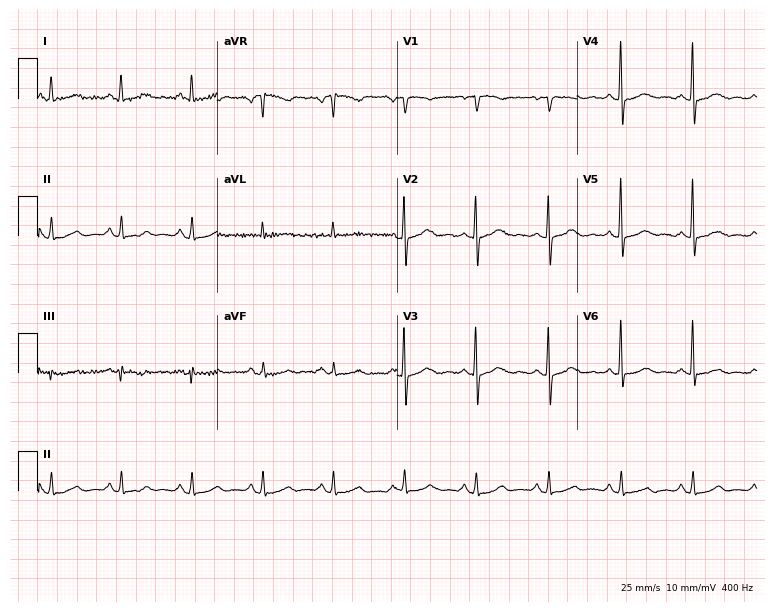
Electrocardiogram (7.3-second recording at 400 Hz), a female, 53 years old. Overall reading on record: normal ECG.